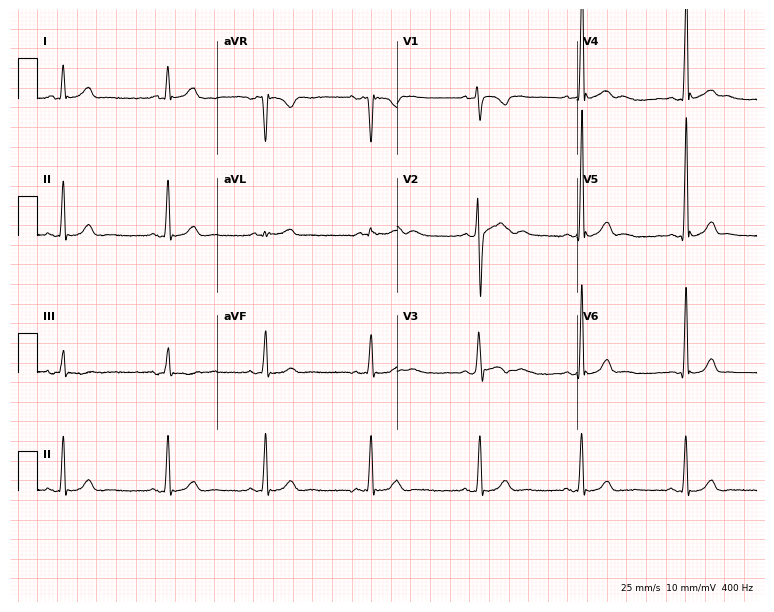
ECG — a man, 18 years old. Labelled as a normal ECG.